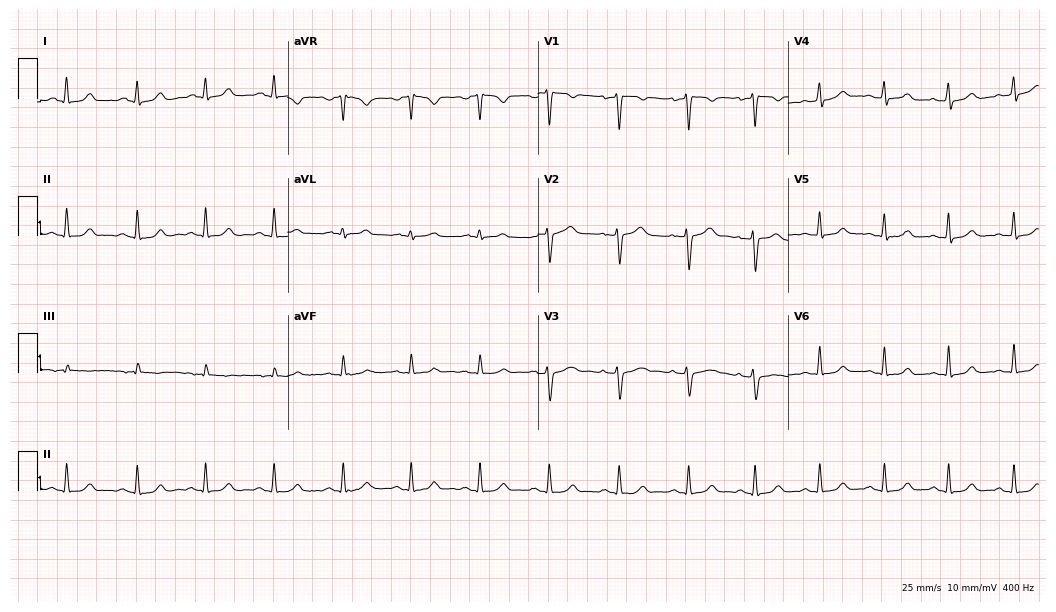
ECG (10.2-second recording at 400 Hz) — a woman, 36 years old. Labelled as a normal ECG.